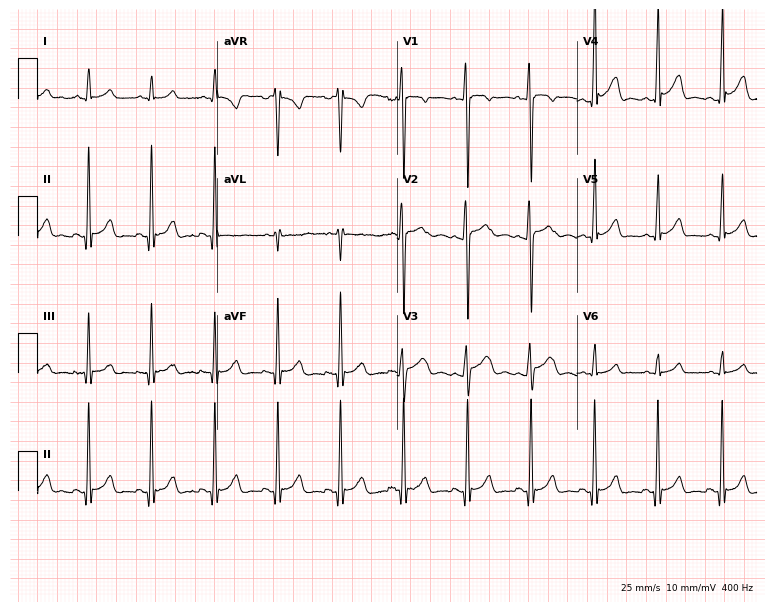
12-lead ECG from a man, 19 years old (7.3-second recording at 400 Hz). No first-degree AV block, right bundle branch block, left bundle branch block, sinus bradycardia, atrial fibrillation or sinus tachycardia recorded for this tracing. Only these six findings were labelled.